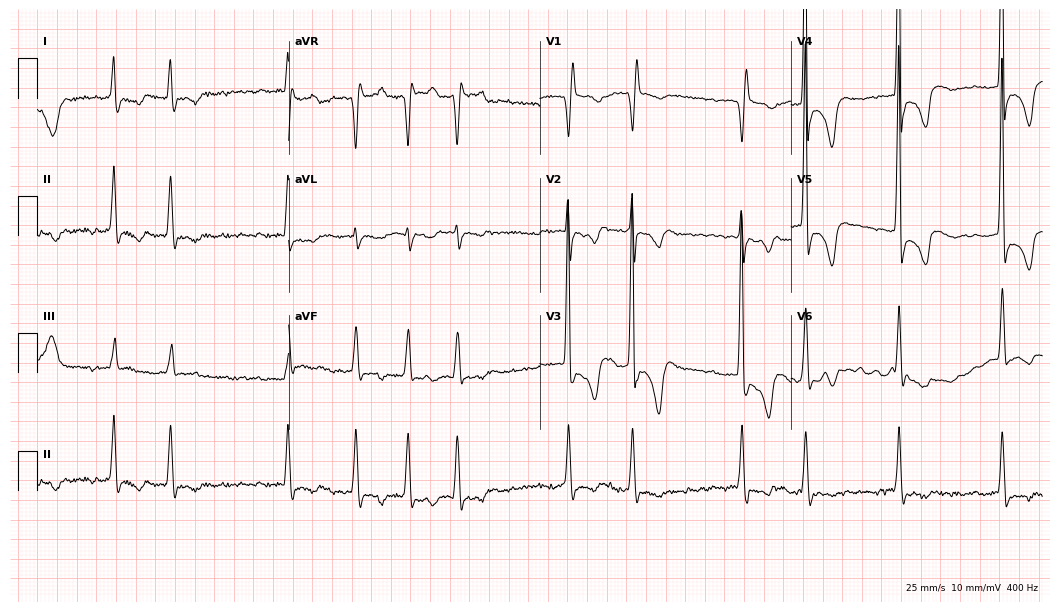
12-lead ECG from an 82-year-old male patient. Shows atrial fibrillation.